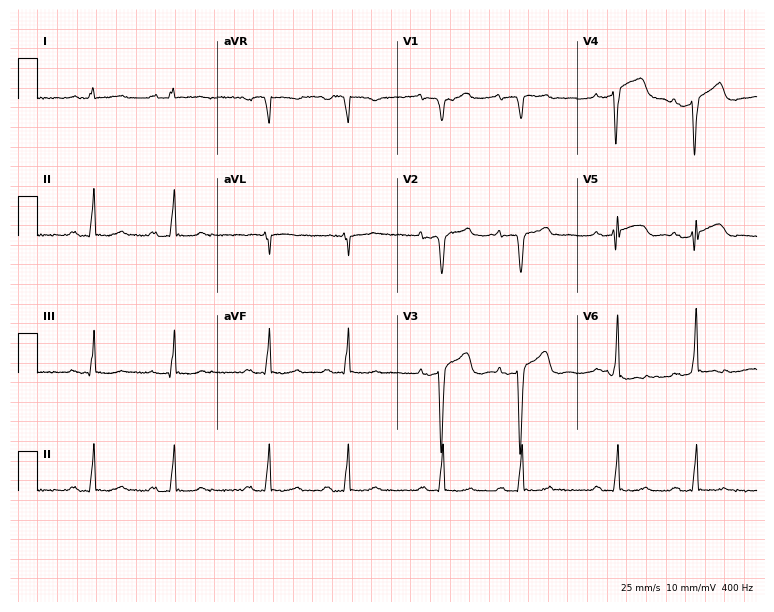
Electrocardiogram (7.3-second recording at 400 Hz), a 79-year-old male. Of the six screened findings (first-degree AV block, right bundle branch block (RBBB), left bundle branch block (LBBB), sinus bradycardia, atrial fibrillation (AF), sinus tachycardia), none is recorded. Other findings, if any, are not listed.